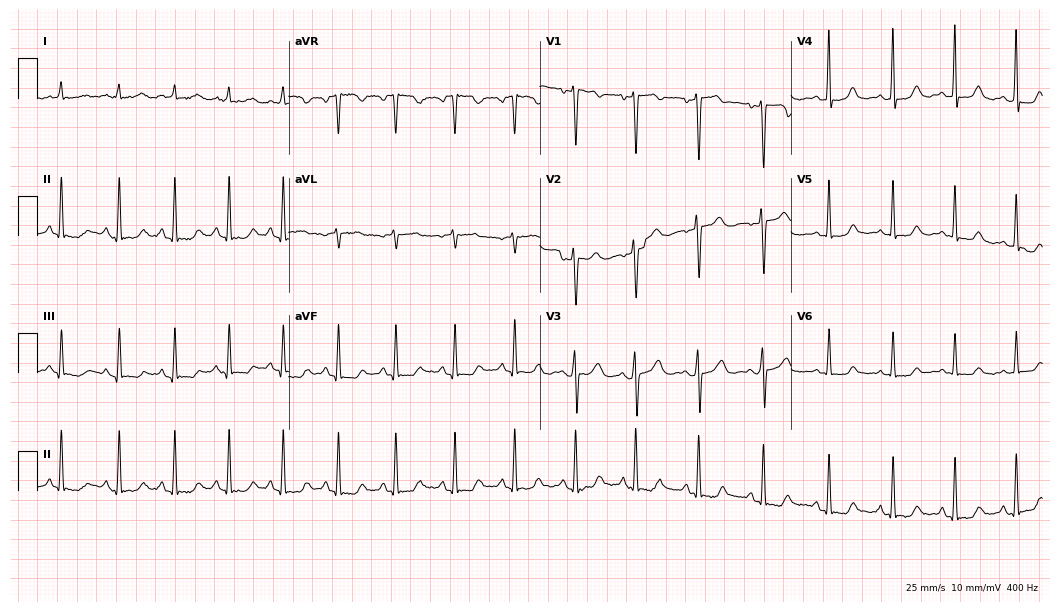
Standard 12-lead ECG recorded from a woman, 48 years old. Read as a normal ECG.